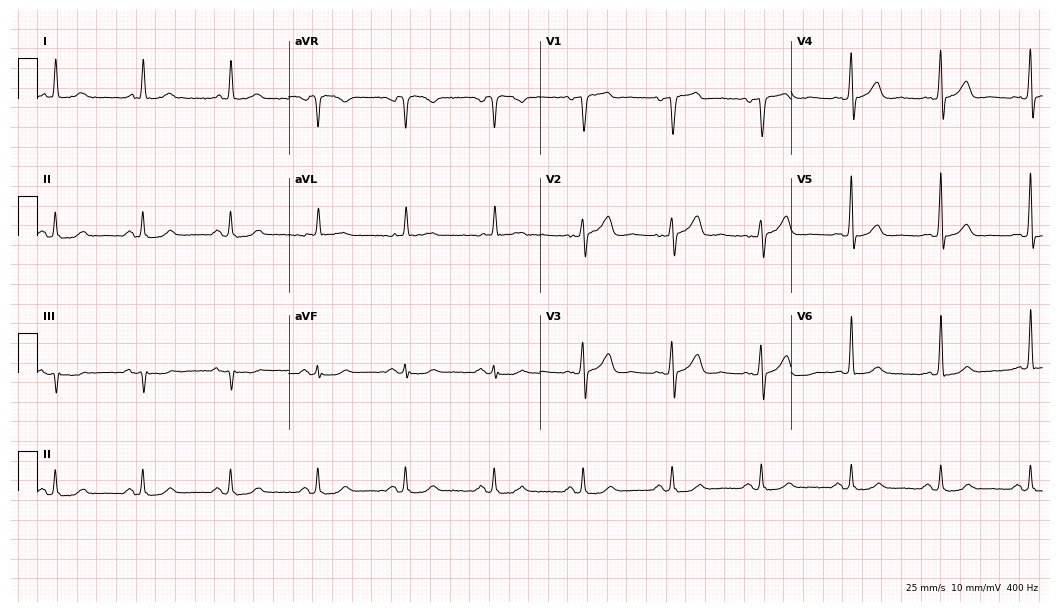
Resting 12-lead electrocardiogram (10.2-second recording at 400 Hz). Patient: an 83-year-old male. Read as a normal ECG.